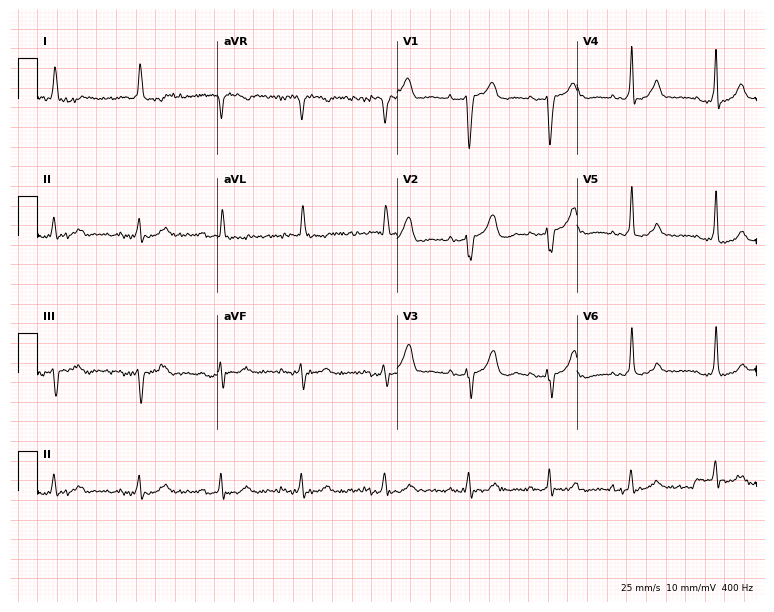
12-lead ECG from a female patient, 80 years old. Screened for six findings — first-degree AV block, right bundle branch block, left bundle branch block, sinus bradycardia, atrial fibrillation, sinus tachycardia — none is recorded.